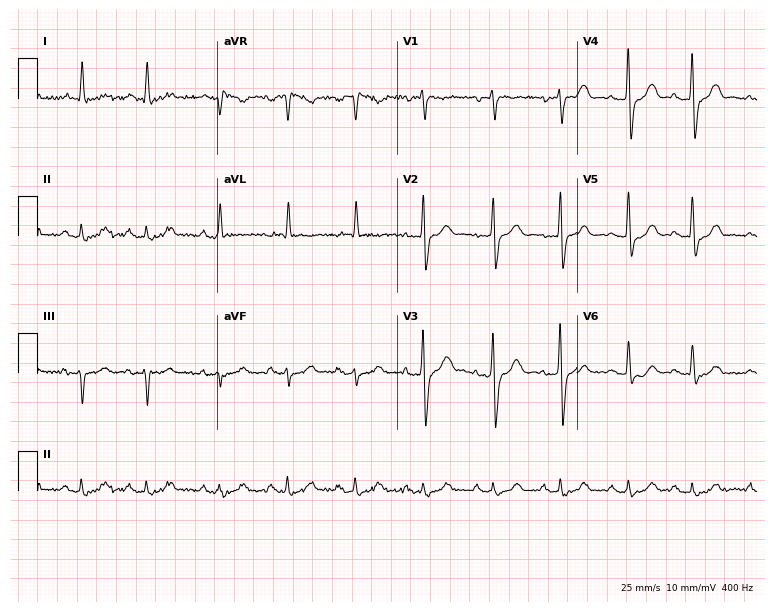
Standard 12-lead ECG recorded from a man, 86 years old (7.3-second recording at 400 Hz). None of these six findings is recorded: first-degree AV block, right bundle branch block (RBBB), left bundle branch block (LBBB), sinus bradycardia, atrial fibrillation (AF), sinus tachycardia. Only these six findings were labelled.